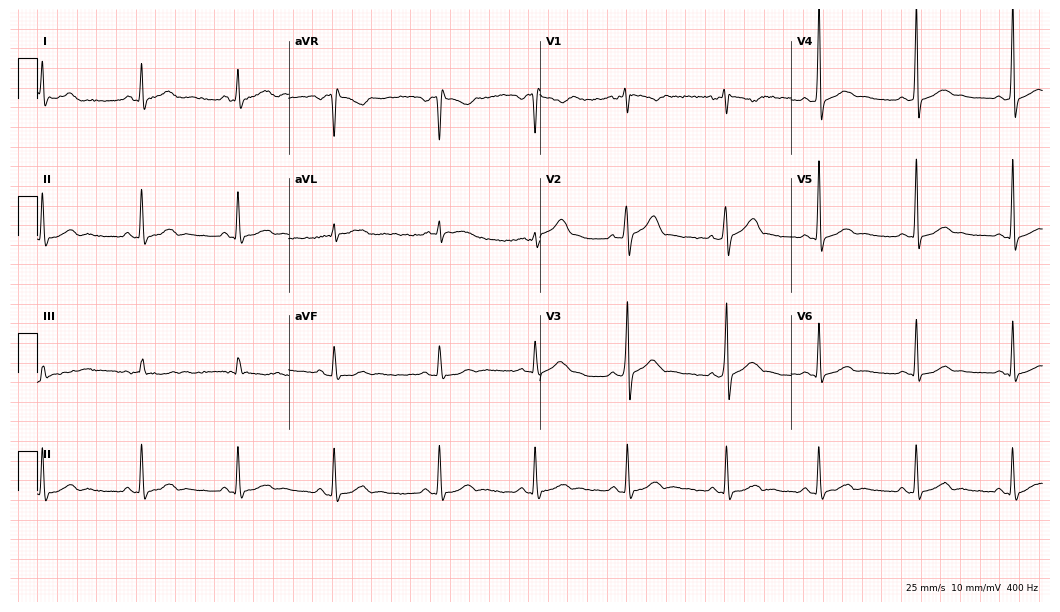
Resting 12-lead electrocardiogram. Patient: a male, 25 years old. Read as a normal ECG.